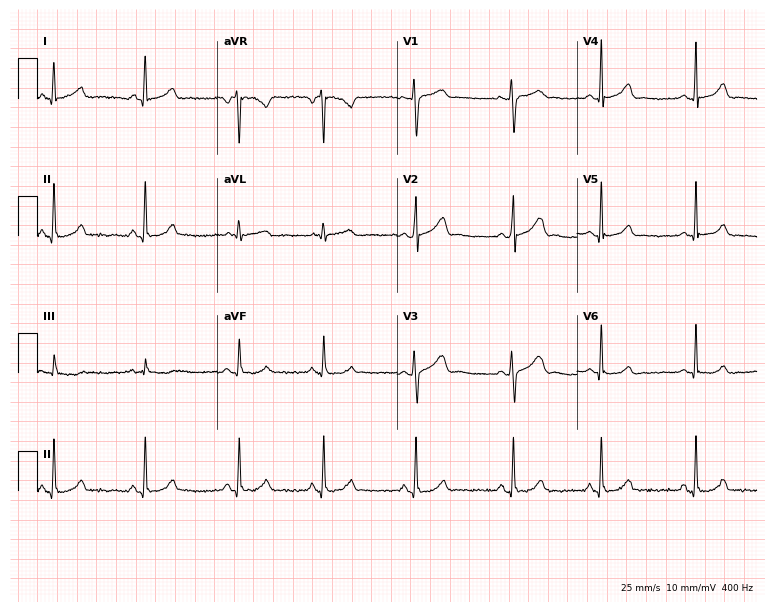
12-lead ECG from a woman, 22 years old. Labelled as a normal ECG.